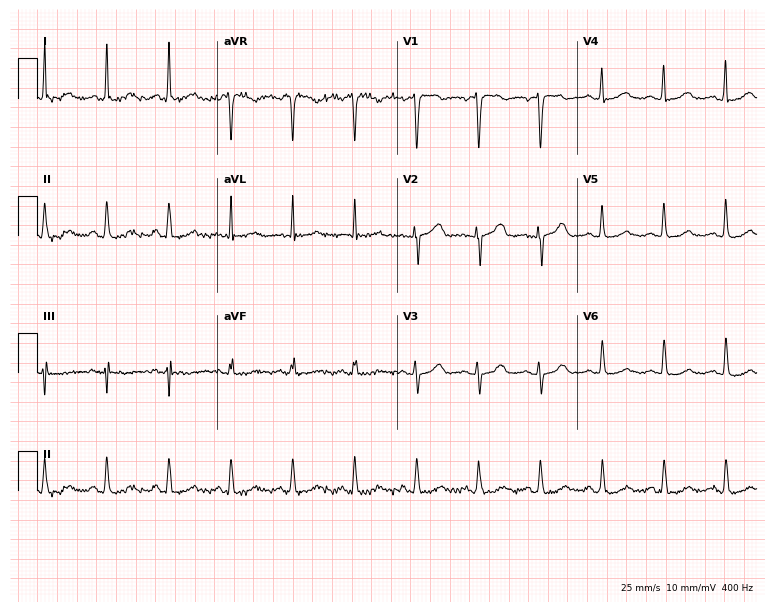
12-lead ECG (7.3-second recording at 400 Hz) from a woman, 70 years old. Labelled as a normal ECG.